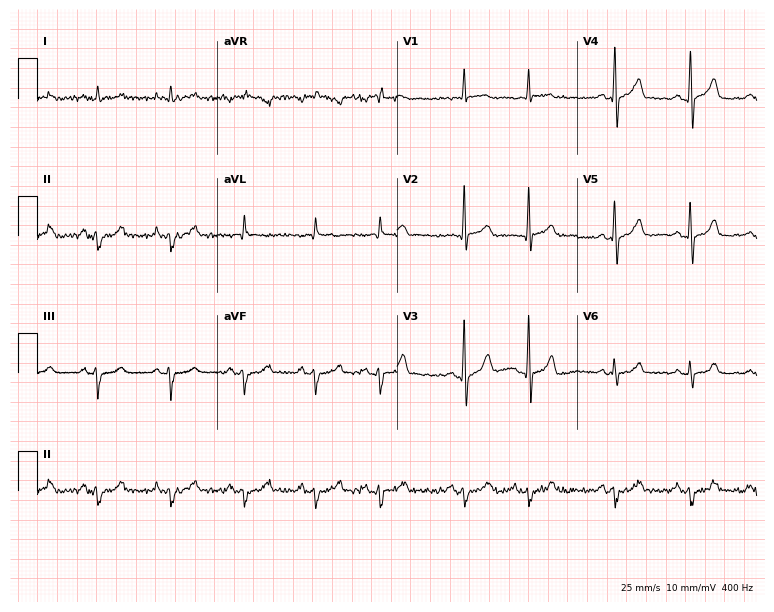
Electrocardiogram (7.3-second recording at 400 Hz), a 67-year-old woman. Of the six screened findings (first-degree AV block, right bundle branch block, left bundle branch block, sinus bradycardia, atrial fibrillation, sinus tachycardia), none is recorded.